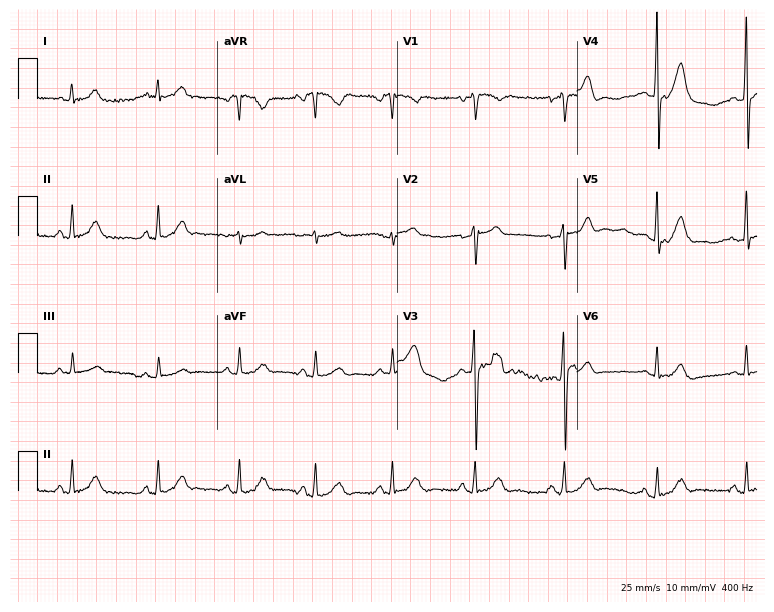
12-lead ECG from a man, 53 years old (7.3-second recording at 400 Hz). No first-degree AV block, right bundle branch block, left bundle branch block, sinus bradycardia, atrial fibrillation or sinus tachycardia recorded for this tracing.